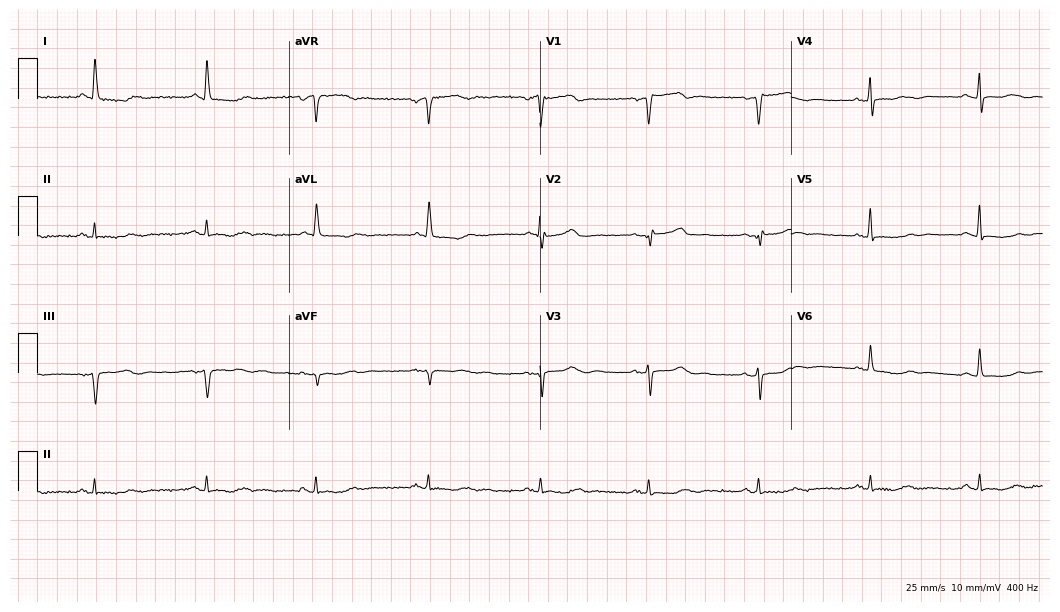
Electrocardiogram (10.2-second recording at 400 Hz), a 75-year-old woman. Of the six screened findings (first-degree AV block, right bundle branch block (RBBB), left bundle branch block (LBBB), sinus bradycardia, atrial fibrillation (AF), sinus tachycardia), none is recorded.